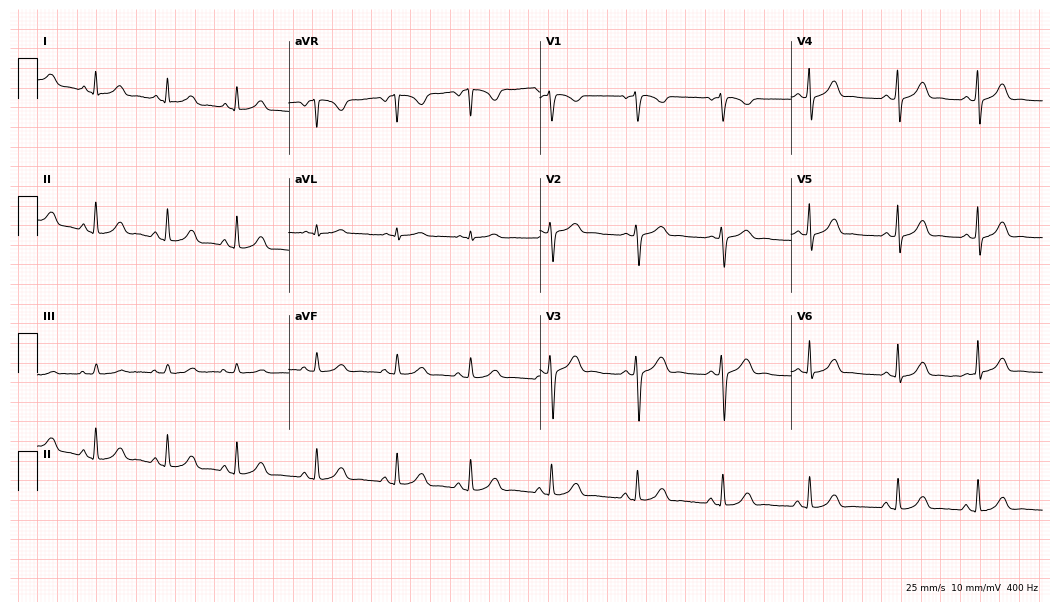
Standard 12-lead ECG recorded from a 24-year-old woman (10.2-second recording at 400 Hz). None of these six findings is recorded: first-degree AV block, right bundle branch block (RBBB), left bundle branch block (LBBB), sinus bradycardia, atrial fibrillation (AF), sinus tachycardia. Only these six findings were labelled.